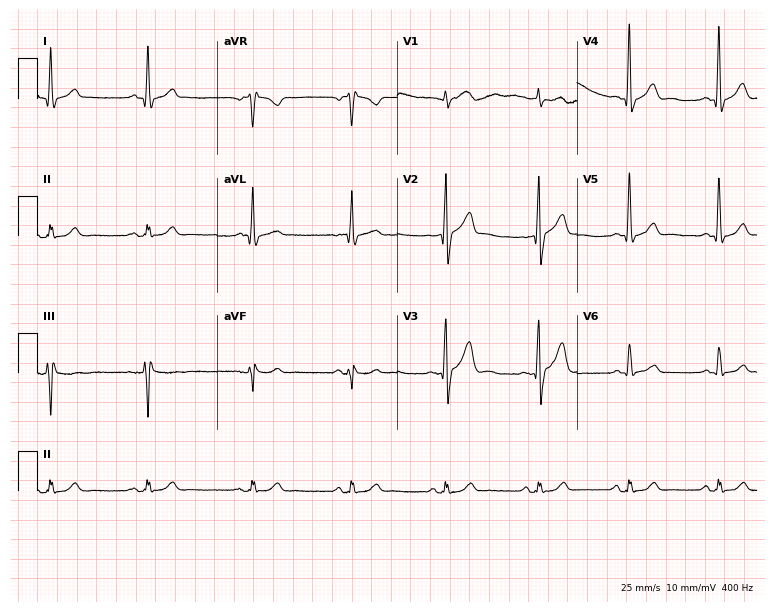
Resting 12-lead electrocardiogram (7.3-second recording at 400 Hz). Patient: a 65-year-old male. None of these six findings is recorded: first-degree AV block, right bundle branch block, left bundle branch block, sinus bradycardia, atrial fibrillation, sinus tachycardia.